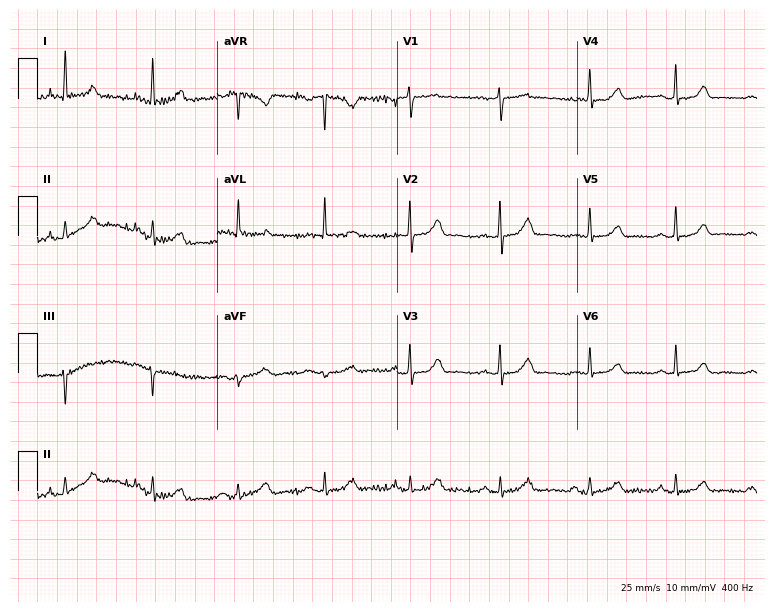
12-lead ECG from a 53-year-old female. Recorded interpretation: within normal limits.